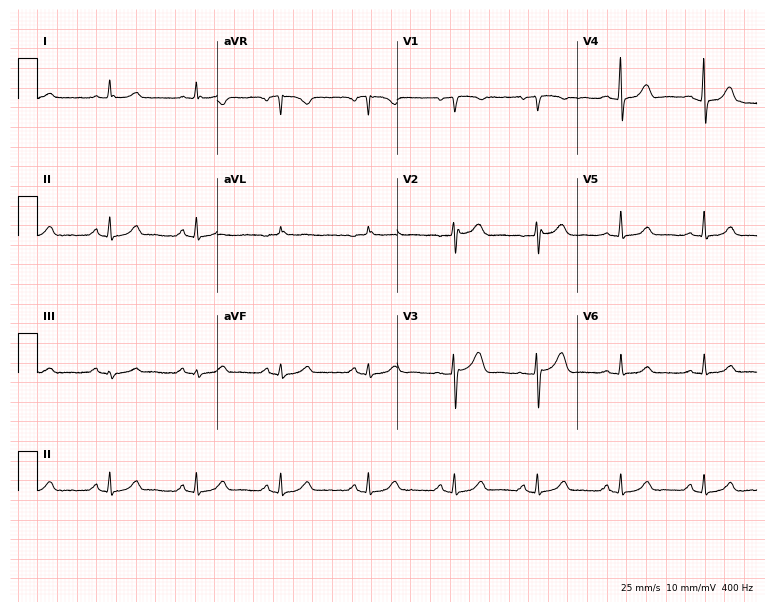
12-lead ECG from a 56-year-old woman. Recorded interpretation: within normal limits.